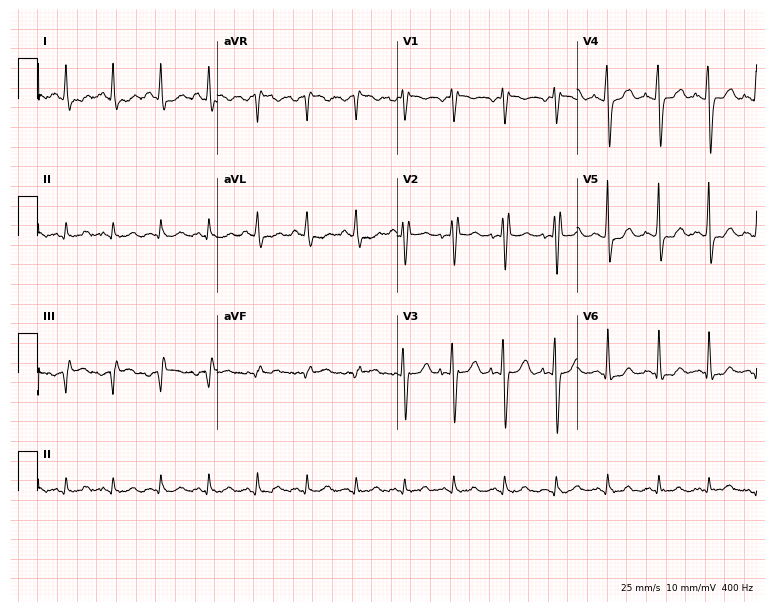
12-lead ECG from a female, 24 years old. Findings include sinus tachycardia (a sinus rate of 100 beats per minute or more).